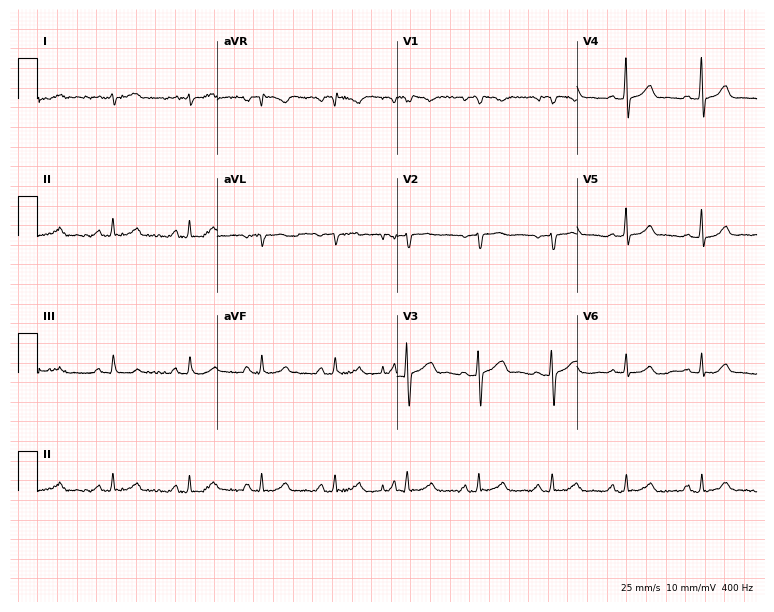
12-lead ECG (7.3-second recording at 400 Hz) from a female, 36 years old. Labelled as a normal ECG.